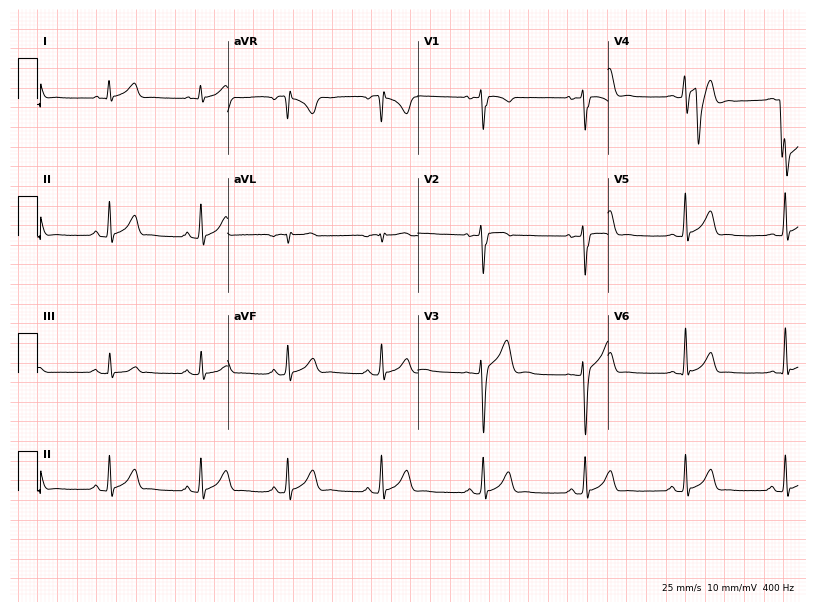
12-lead ECG from a man, 31 years old. Labelled as a normal ECG.